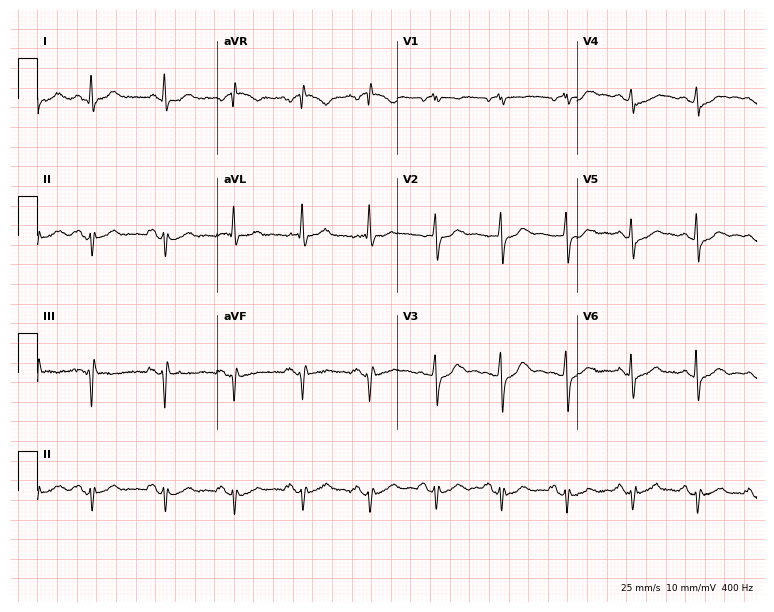
12-lead ECG (7.3-second recording at 400 Hz) from a female, 70 years old. Screened for six findings — first-degree AV block, right bundle branch block (RBBB), left bundle branch block (LBBB), sinus bradycardia, atrial fibrillation (AF), sinus tachycardia — none is recorded.